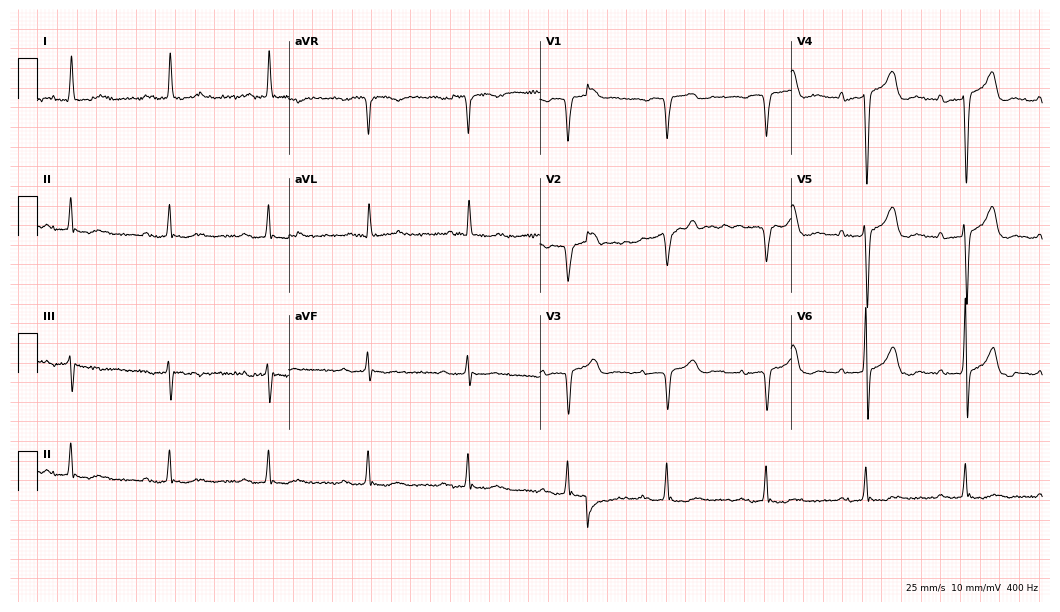
12-lead ECG (10.2-second recording at 400 Hz) from a male patient, 84 years old. Findings include first-degree AV block.